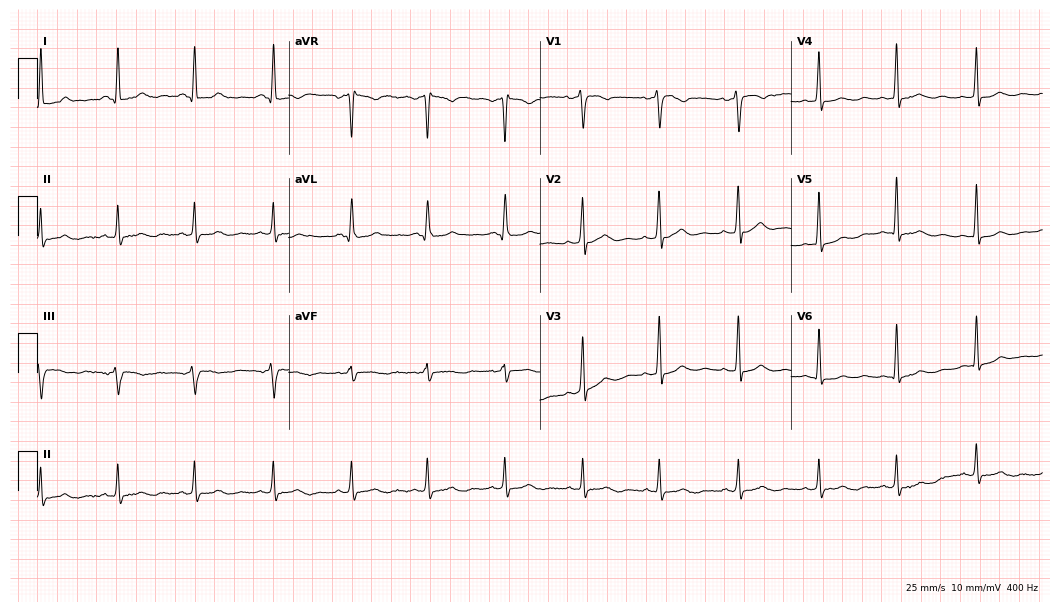
Standard 12-lead ECG recorded from a woman, 39 years old (10.2-second recording at 400 Hz). Read as a normal ECG.